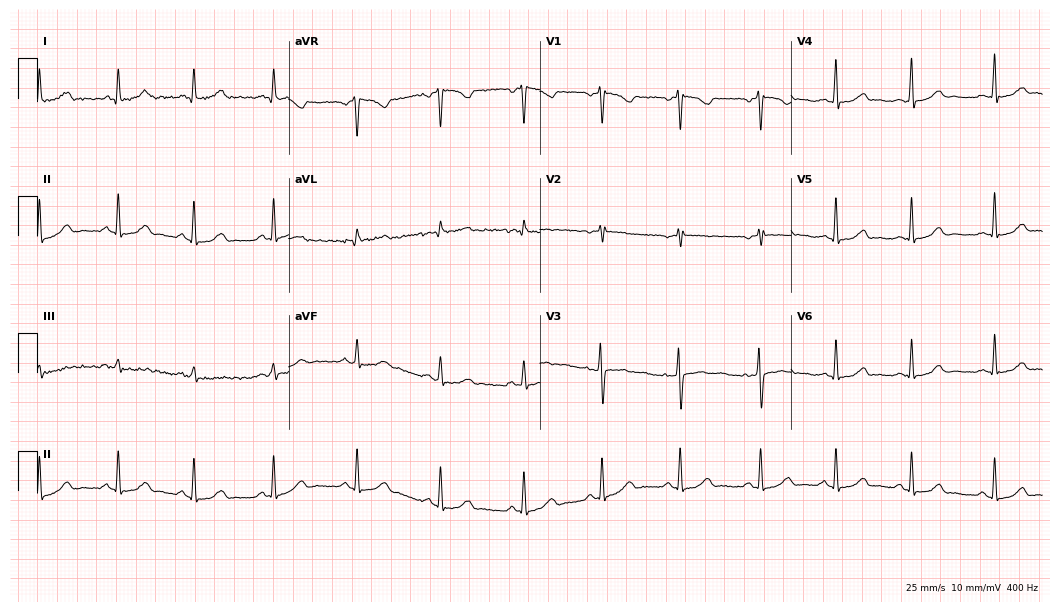
ECG (10.2-second recording at 400 Hz) — a 36-year-old female. Labelled as a normal ECG.